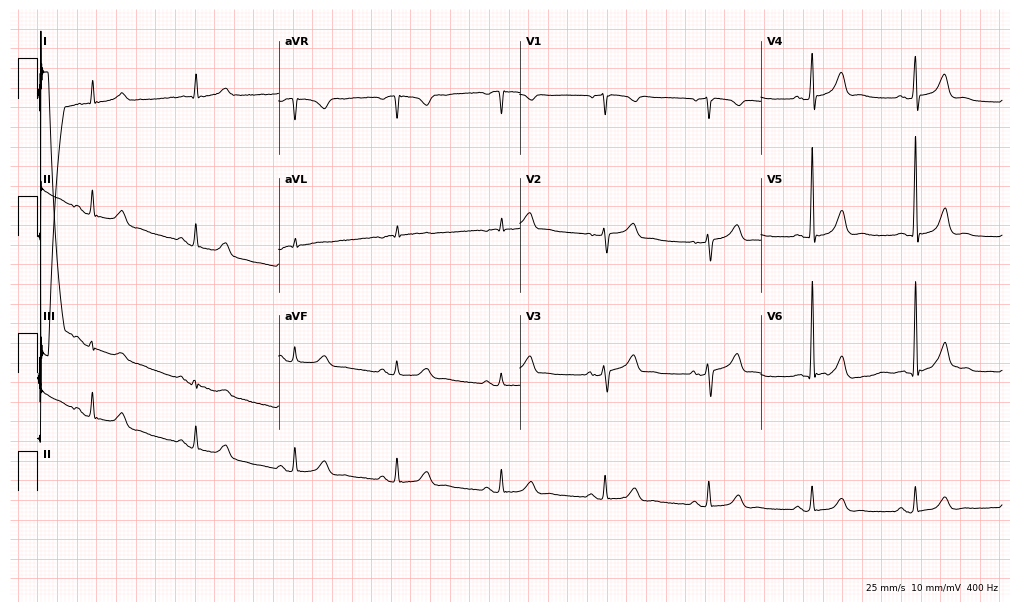
Standard 12-lead ECG recorded from a man, 84 years old (9.8-second recording at 400 Hz). Read as a normal ECG.